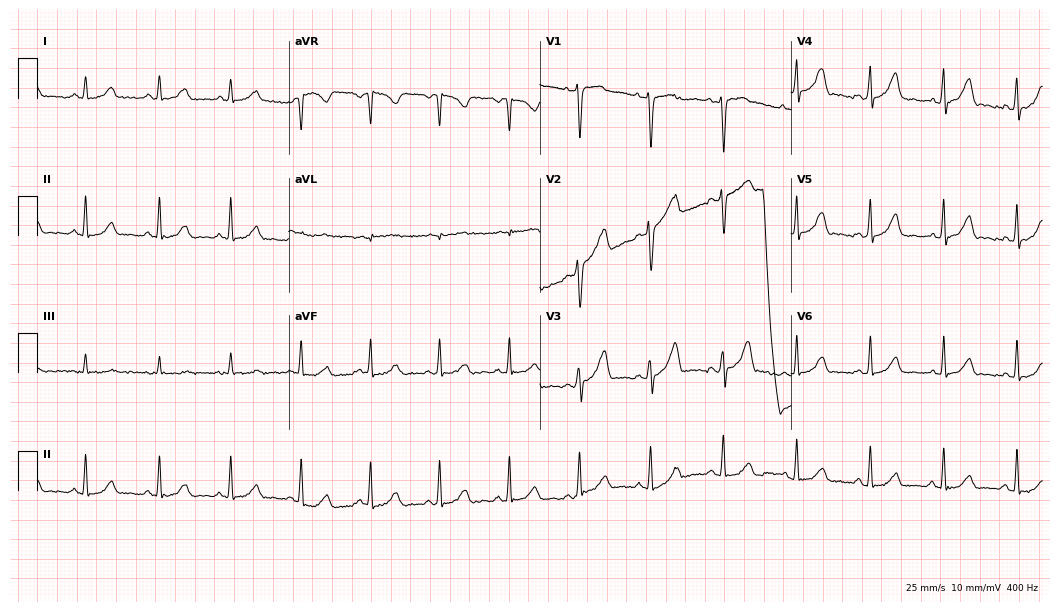
Standard 12-lead ECG recorded from a 35-year-old female. Read as a normal ECG.